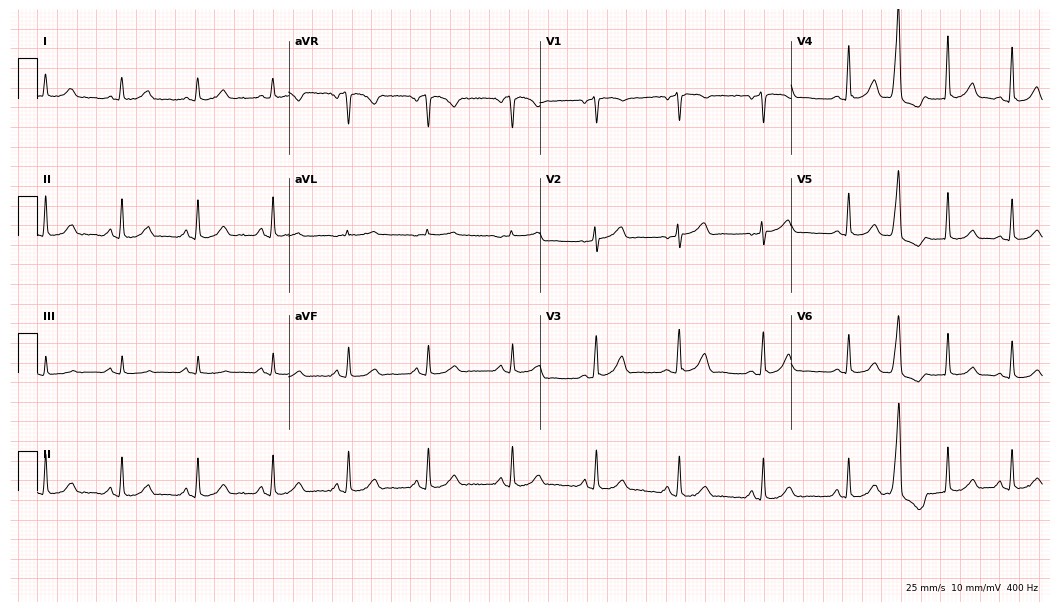
Electrocardiogram, a 72-year-old woman. Overall reading on record: normal ECG.